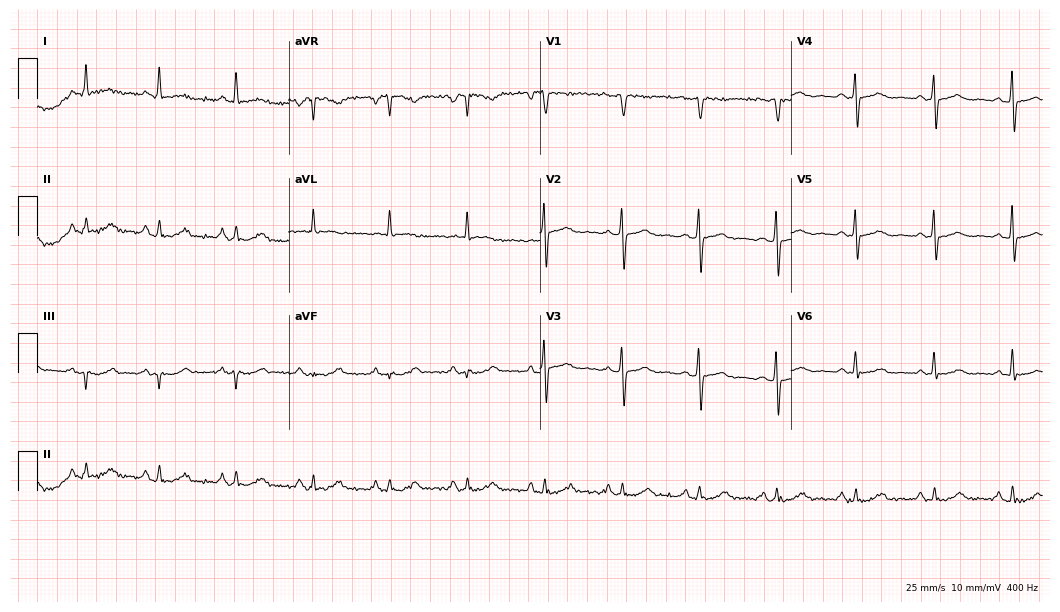
ECG (10.2-second recording at 400 Hz) — a woman, 61 years old. Labelled as a normal ECG.